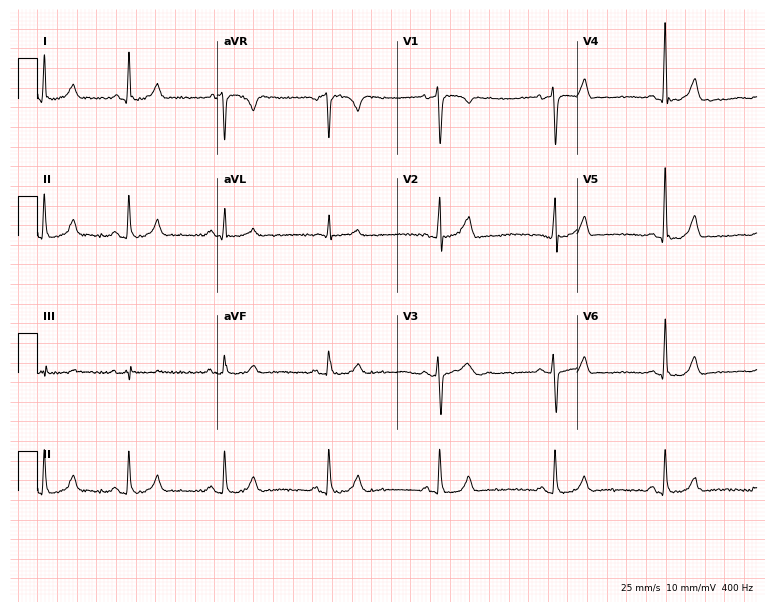
12-lead ECG from a man, 52 years old. Labelled as a normal ECG.